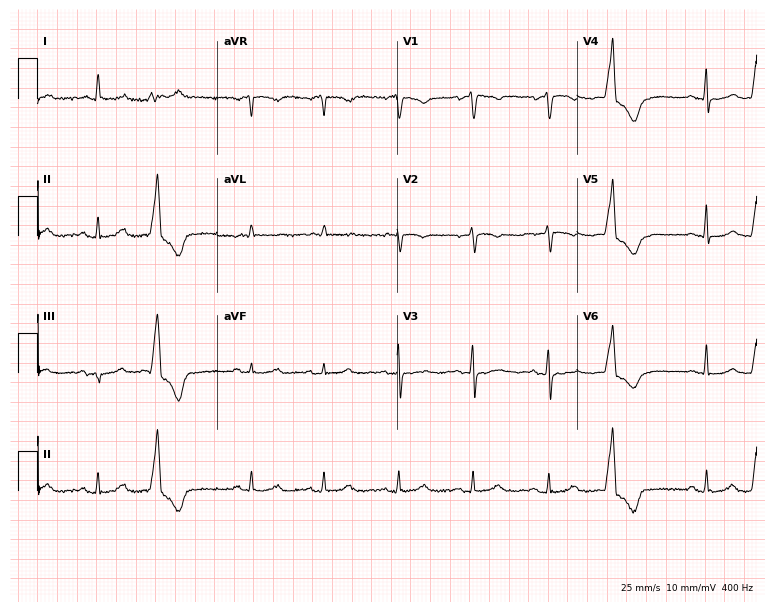
12-lead ECG from a woman, 79 years old. No first-degree AV block, right bundle branch block, left bundle branch block, sinus bradycardia, atrial fibrillation or sinus tachycardia recorded for this tracing.